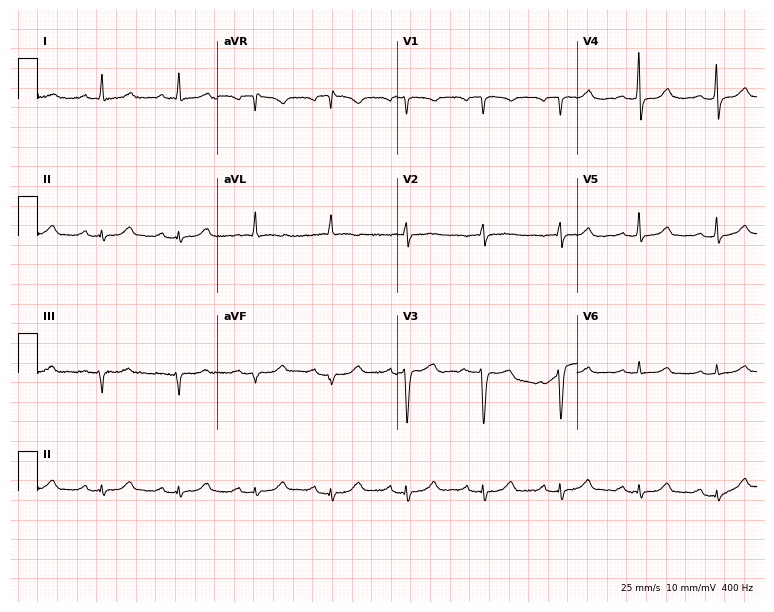
ECG (7.3-second recording at 400 Hz) — a 61-year-old female patient. Labelled as a normal ECG.